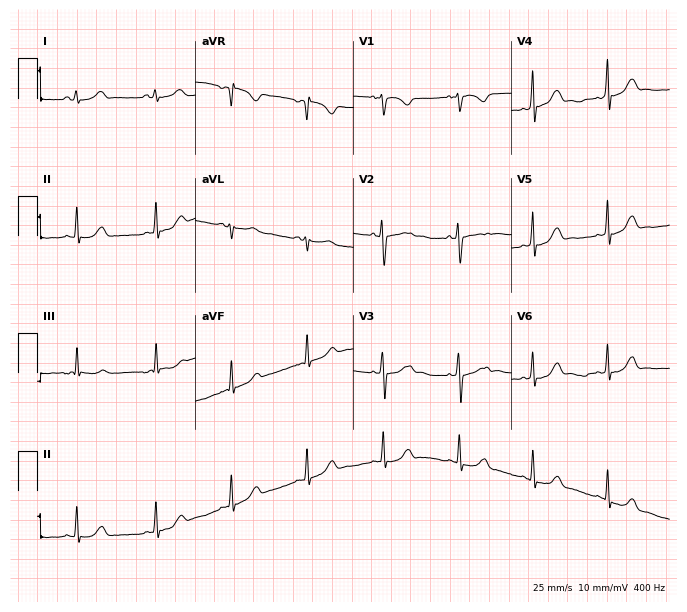
ECG — a woman, 31 years old. Screened for six findings — first-degree AV block, right bundle branch block, left bundle branch block, sinus bradycardia, atrial fibrillation, sinus tachycardia — none is recorded.